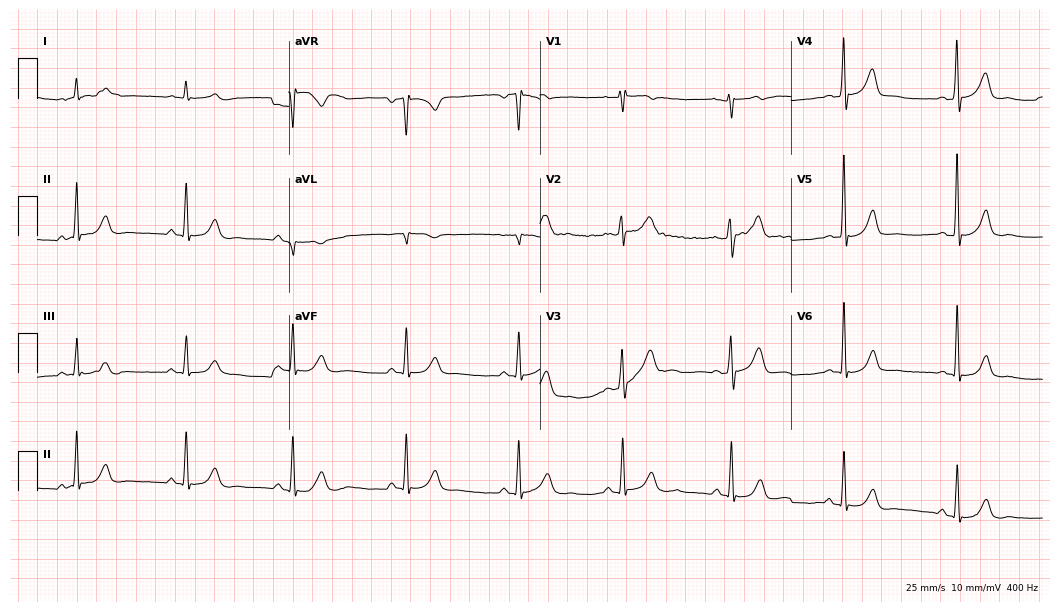
ECG — a 60-year-old male. Labelled as a normal ECG.